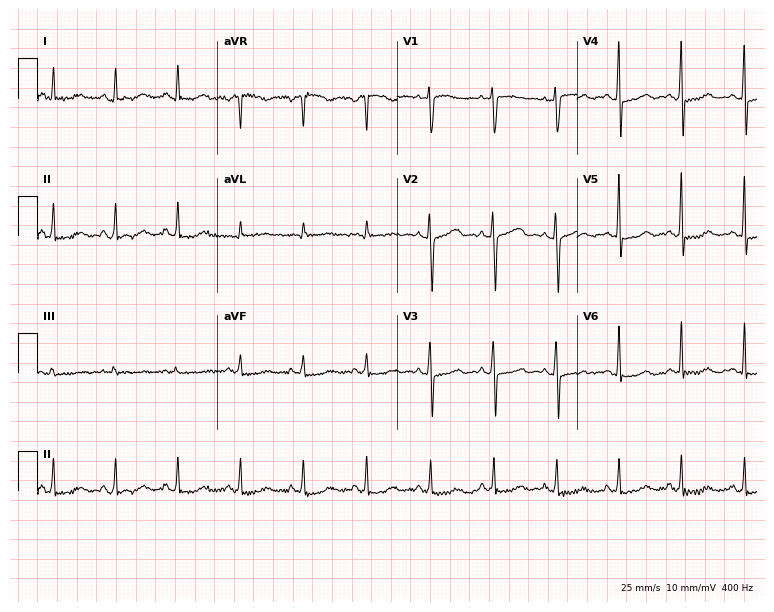
12-lead ECG from a woman, 46 years old. Screened for six findings — first-degree AV block, right bundle branch block, left bundle branch block, sinus bradycardia, atrial fibrillation, sinus tachycardia — none is recorded.